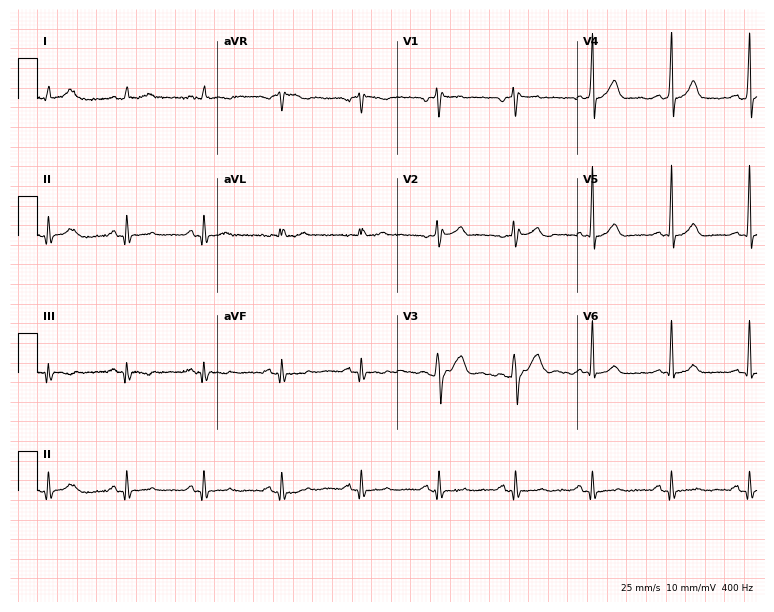
ECG — a male patient, 52 years old. Labelled as a normal ECG.